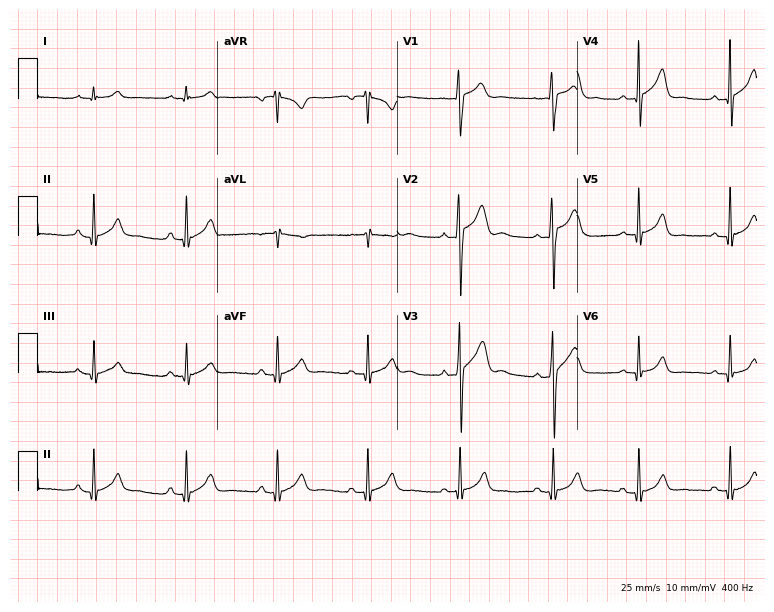
12-lead ECG from a male patient, 17 years old (7.3-second recording at 400 Hz). Recorded interpretation: within normal limits.